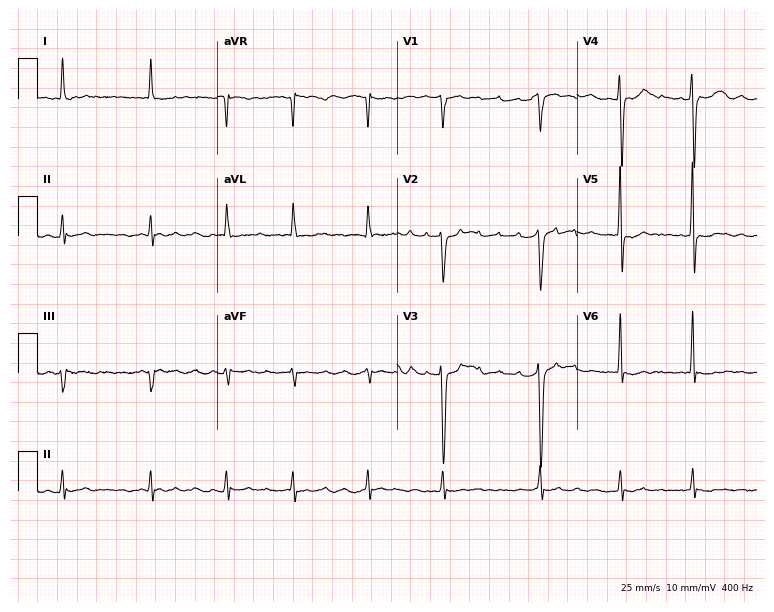
ECG — a female, 71 years old. Findings include atrial fibrillation.